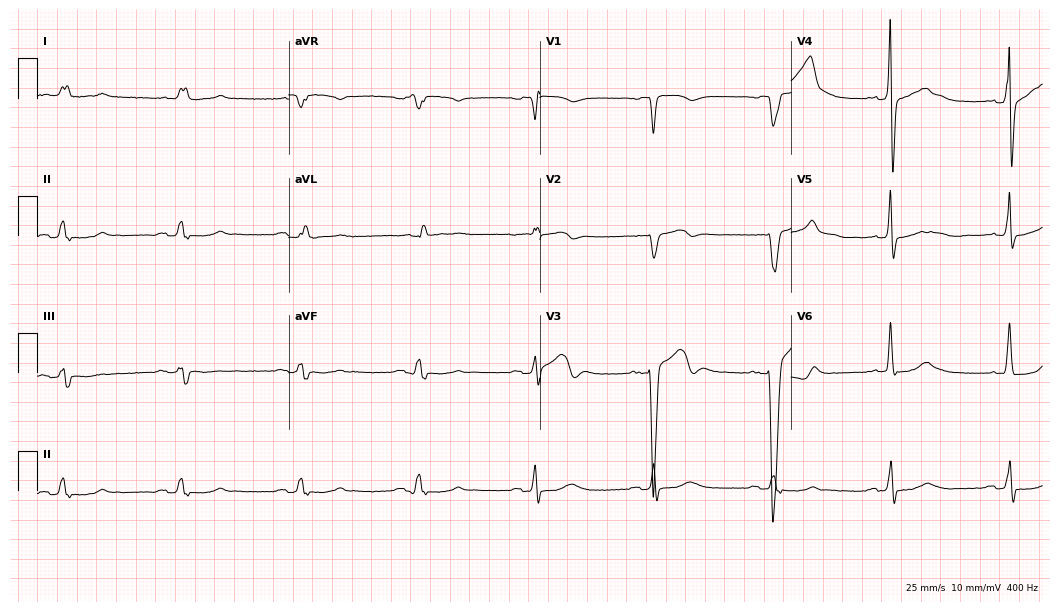
12-lead ECG (10.2-second recording at 400 Hz) from a woman, 84 years old. Findings include right bundle branch block, left bundle branch block.